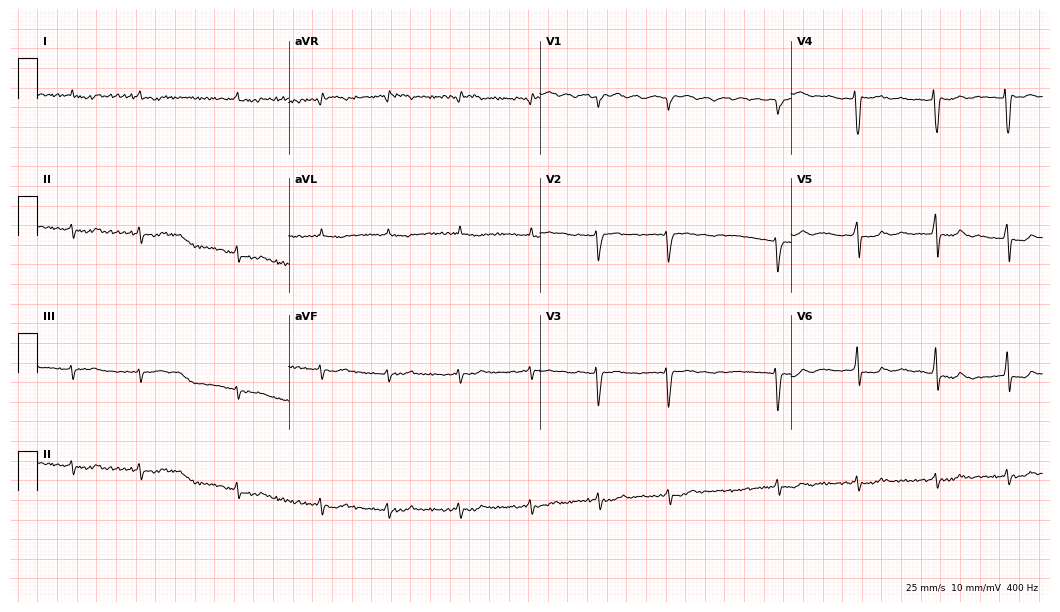
12-lead ECG from an 83-year-old male patient. Shows atrial fibrillation.